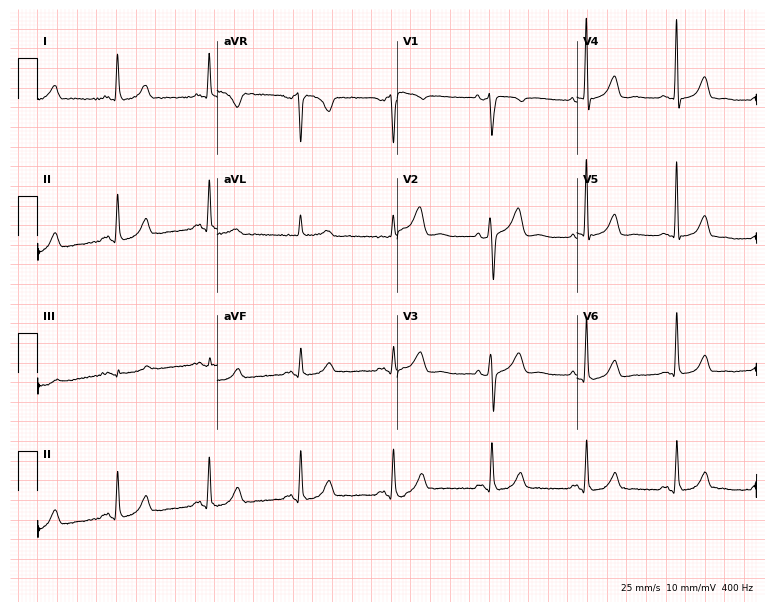
12-lead ECG (7.3-second recording at 400 Hz) from a female patient, 49 years old. Screened for six findings — first-degree AV block, right bundle branch block, left bundle branch block, sinus bradycardia, atrial fibrillation, sinus tachycardia — none is recorded.